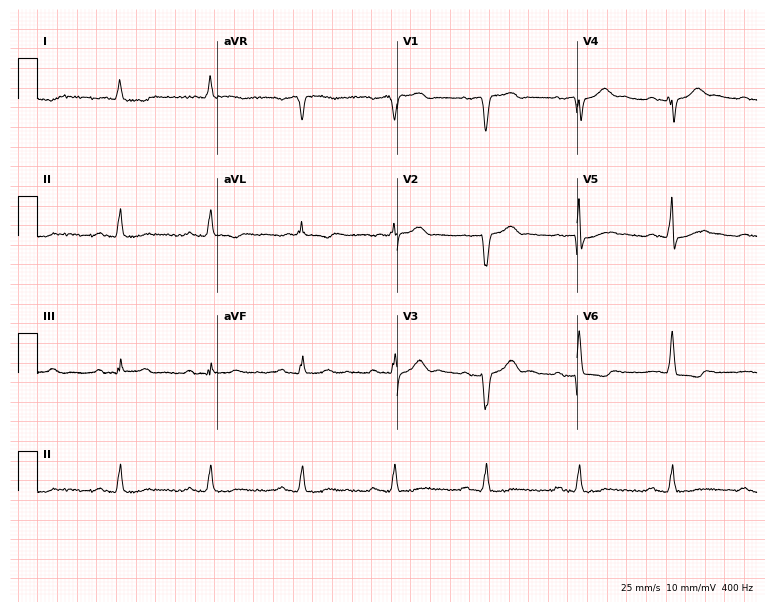
Electrocardiogram, a man, 73 years old. Of the six screened findings (first-degree AV block, right bundle branch block (RBBB), left bundle branch block (LBBB), sinus bradycardia, atrial fibrillation (AF), sinus tachycardia), none is recorded.